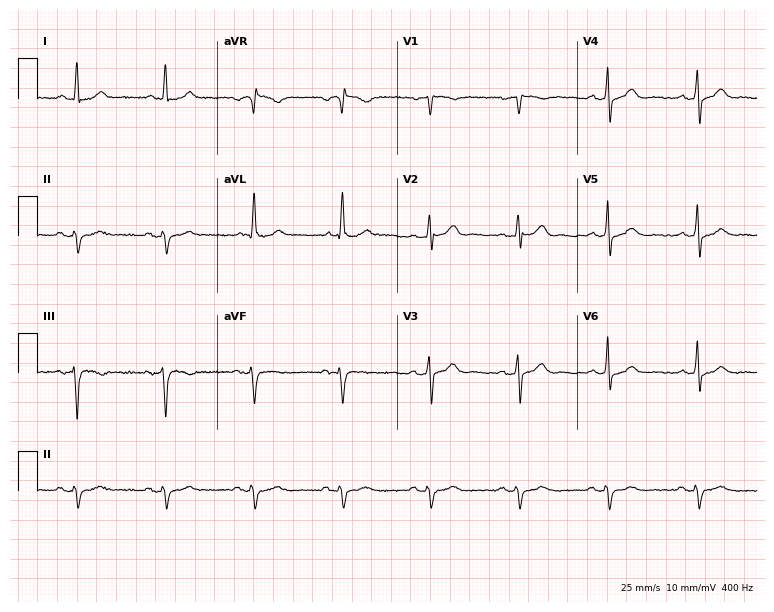
Resting 12-lead electrocardiogram. Patient: a 65-year-old man. None of these six findings is recorded: first-degree AV block, right bundle branch block (RBBB), left bundle branch block (LBBB), sinus bradycardia, atrial fibrillation (AF), sinus tachycardia. Only these six findings were labelled.